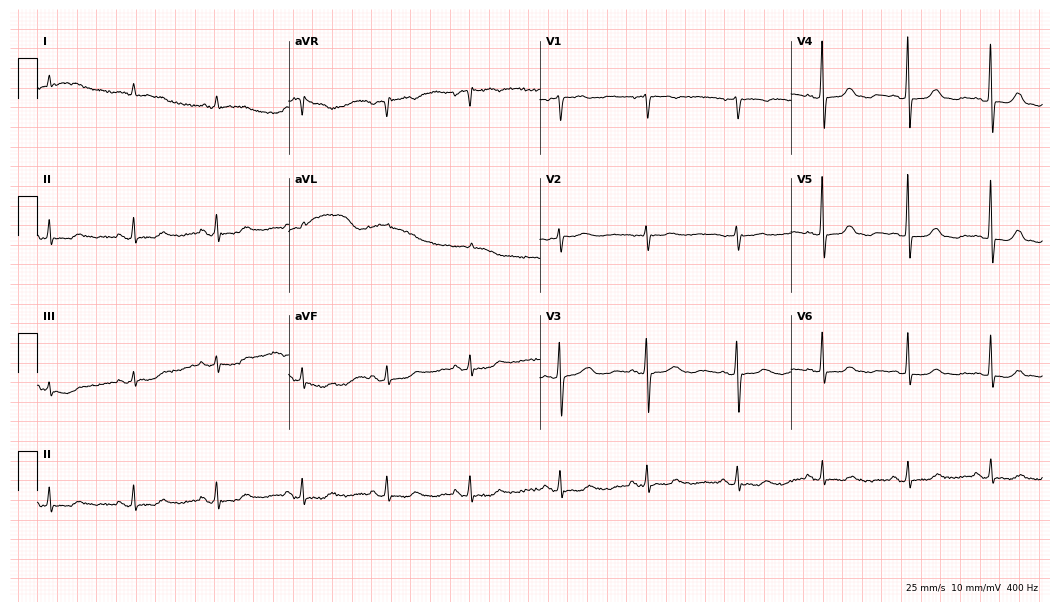
12-lead ECG (10.2-second recording at 400 Hz) from an 82-year-old female. Labelled as a normal ECG.